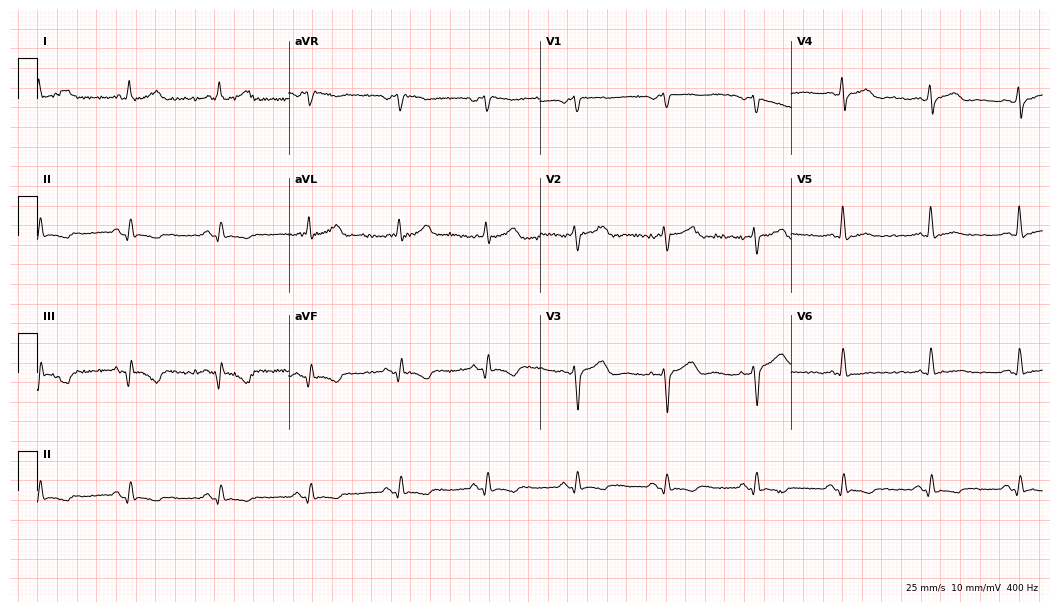
Electrocardiogram, a male patient, 66 years old. Of the six screened findings (first-degree AV block, right bundle branch block, left bundle branch block, sinus bradycardia, atrial fibrillation, sinus tachycardia), none is recorded. Other findings, if any, are not listed.